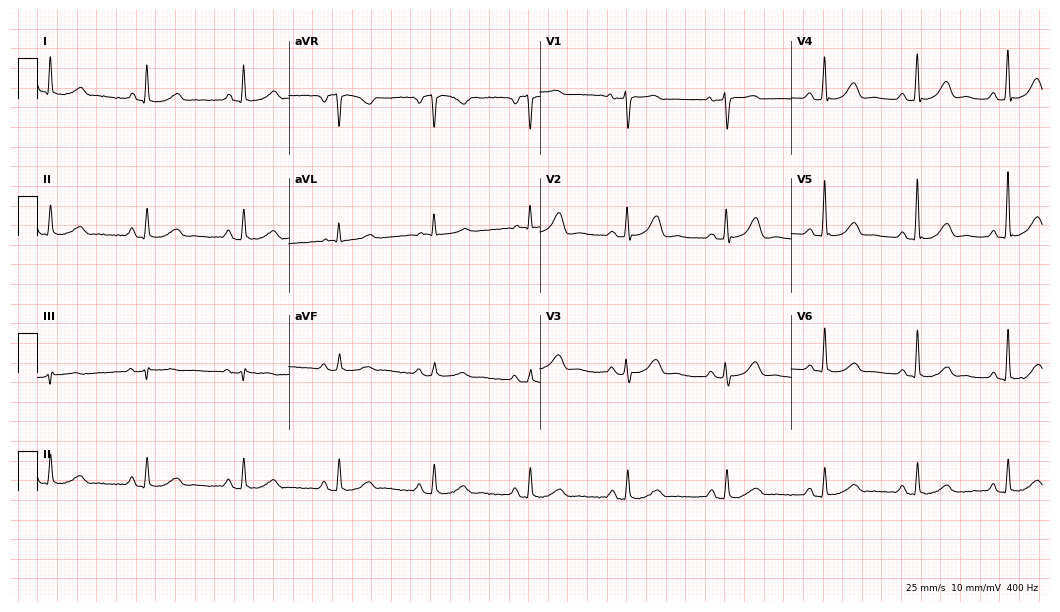
Resting 12-lead electrocardiogram (10.2-second recording at 400 Hz). Patient: a female, 74 years old. Read as a normal ECG.